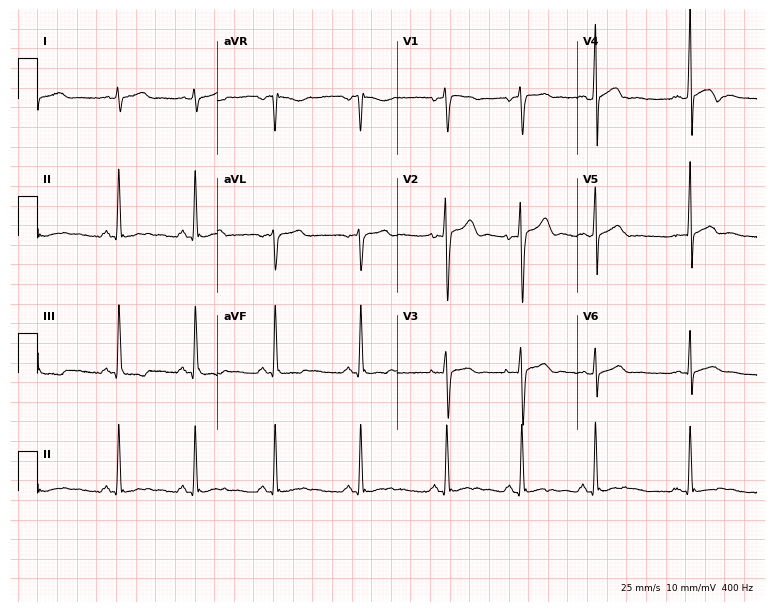
12-lead ECG from a 19-year-old male. Screened for six findings — first-degree AV block, right bundle branch block, left bundle branch block, sinus bradycardia, atrial fibrillation, sinus tachycardia — none is recorded.